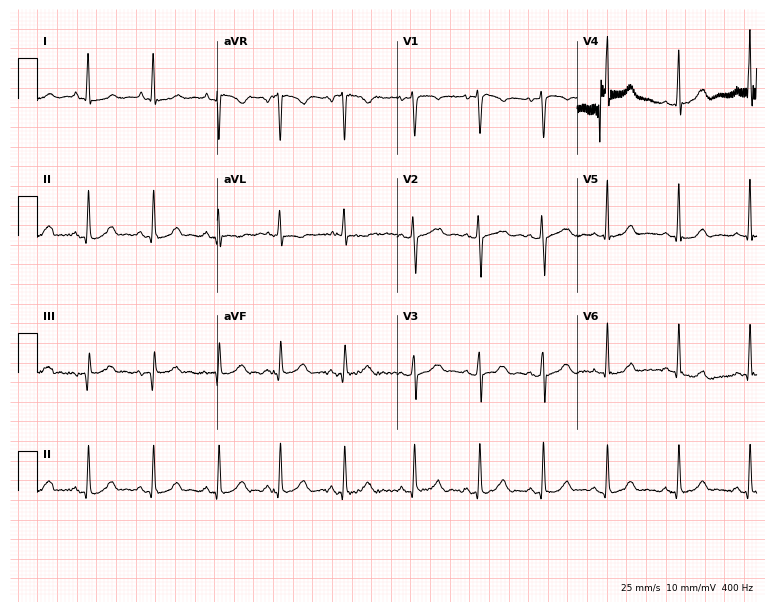
12-lead ECG from a female patient, 17 years old. Labelled as a normal ECG.